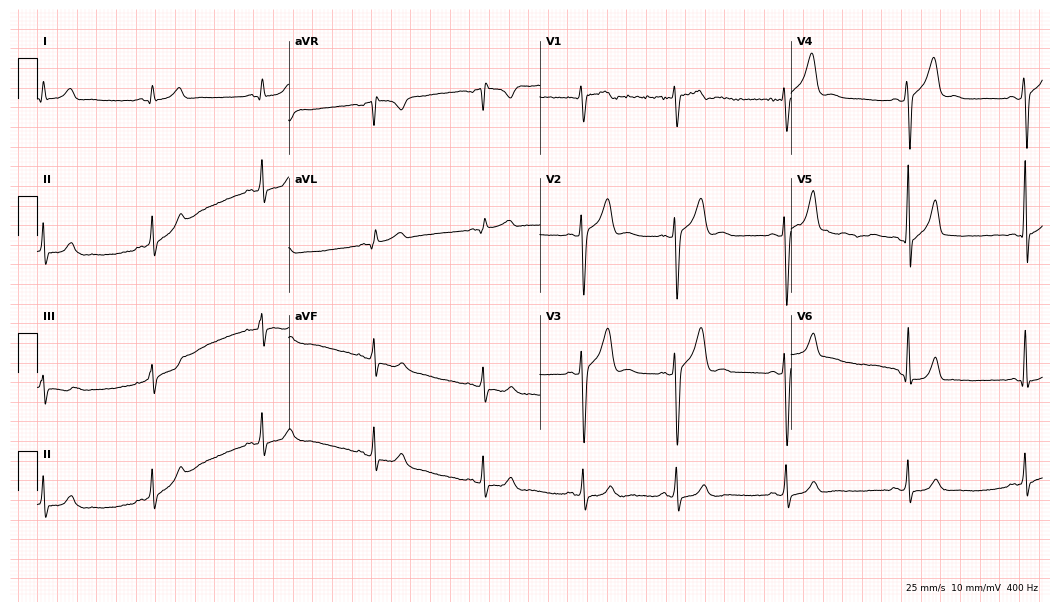
Electrocardiogram, a 19-year-old male patient. Overall reading on record: normal ECG.